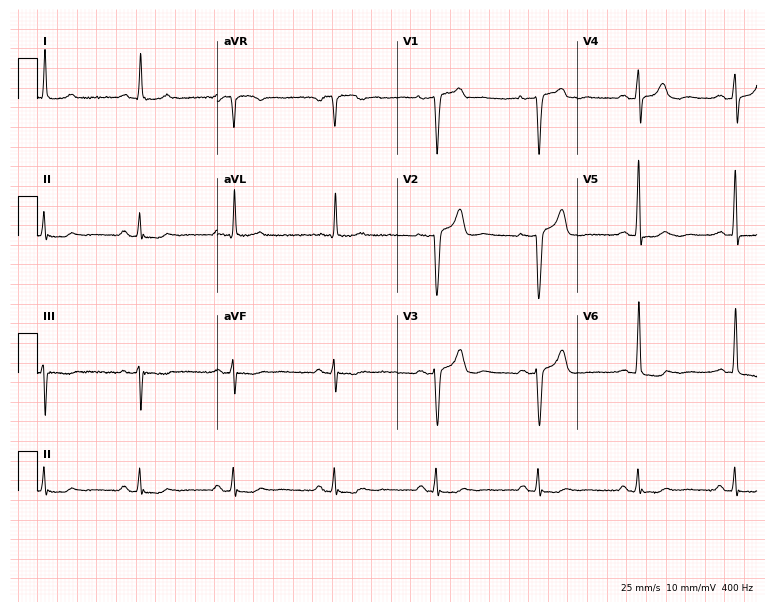
Electrocardiogram (7.3-second recording at 400 Hz), a male, 87 years old. Of the six screened findings (first-degree AV block, right bundle branch block, left bundle branch block, sinus bradycardia, atrial fibrillation, sinus tachycardia), none is recorded.